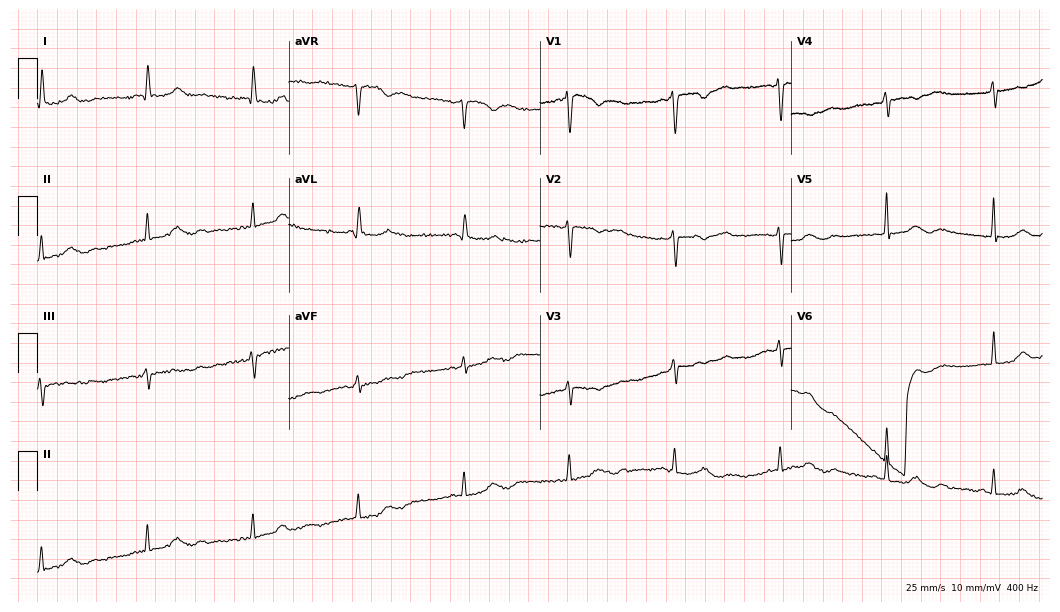
ECG (10.2-second recording at 400 Hz) — a 76-year-old female. Screened for six findings — first-degree AV block, right bundle branch block, left bundle branch block, sinus bradycardia, atrial fibrillation, sinus tachycardia — none is recorded. Findings outside these six are not listed.